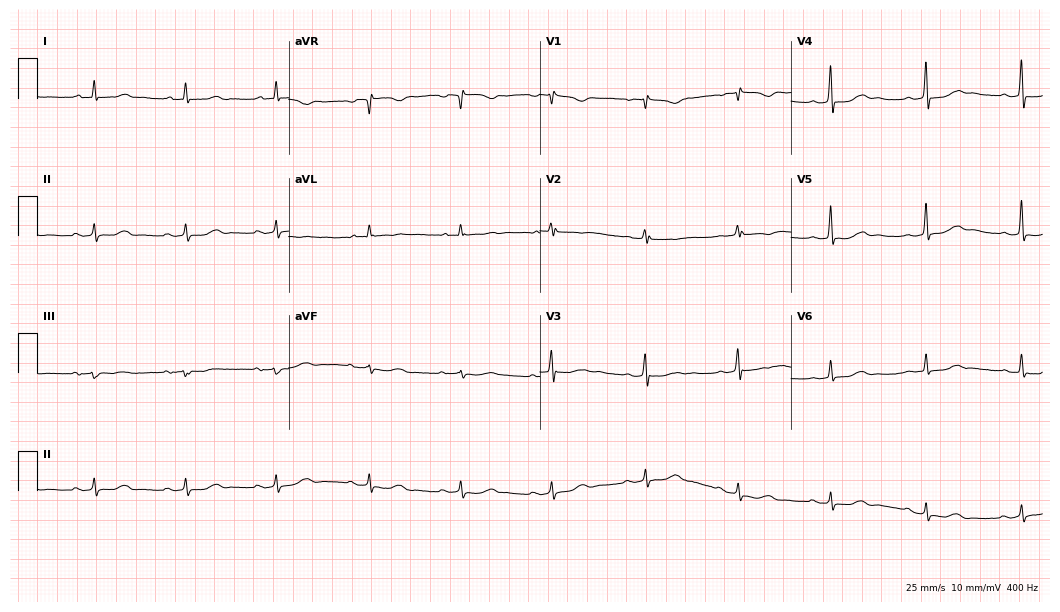
Standard 12-lead ECG recorded from a woman, 64 years old. None of these six findings is recorded: first-degree AV block, right bundle branch block, left bundle branch block, sinus bradycardia, atrial fibrillation, sinus tachycardia.